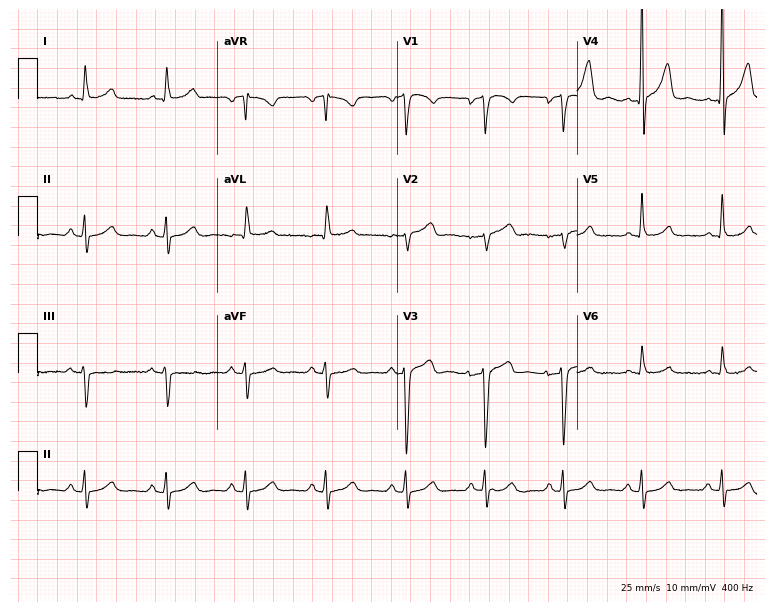
ECG — a male, 45 years old. Screened for six findings — first-degree AV block, right bundle branch block, left bundle branch block, sinus bradycardia, atrial fibrillation, sinus tachycardia — none is recorded. Findings outside these six are not listed.